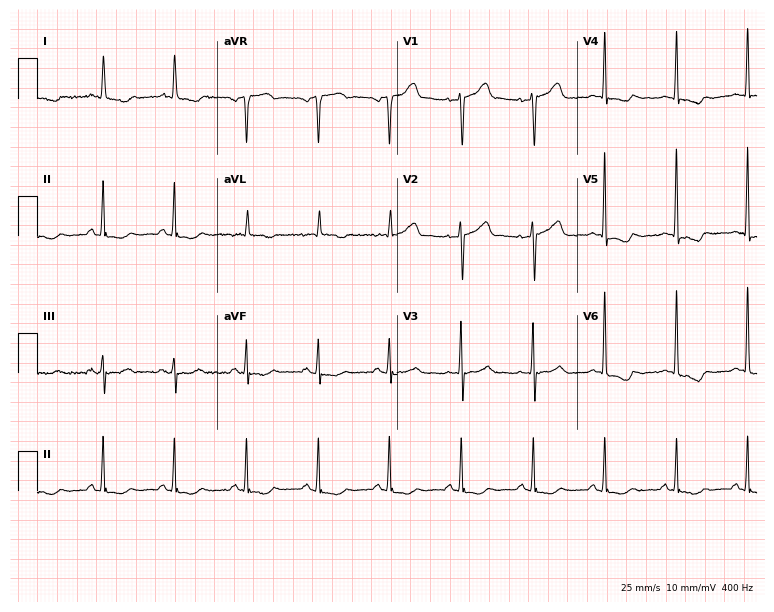
Electrocardiogram, a man, 80 years old. Of the six screened findings (first-degree AV block, right bundle branch block (RBBB), left bundle branch block (LBBB), sinus bradycardia, atrial fibrillation (AF), sinus tachycardia), none is recorded.